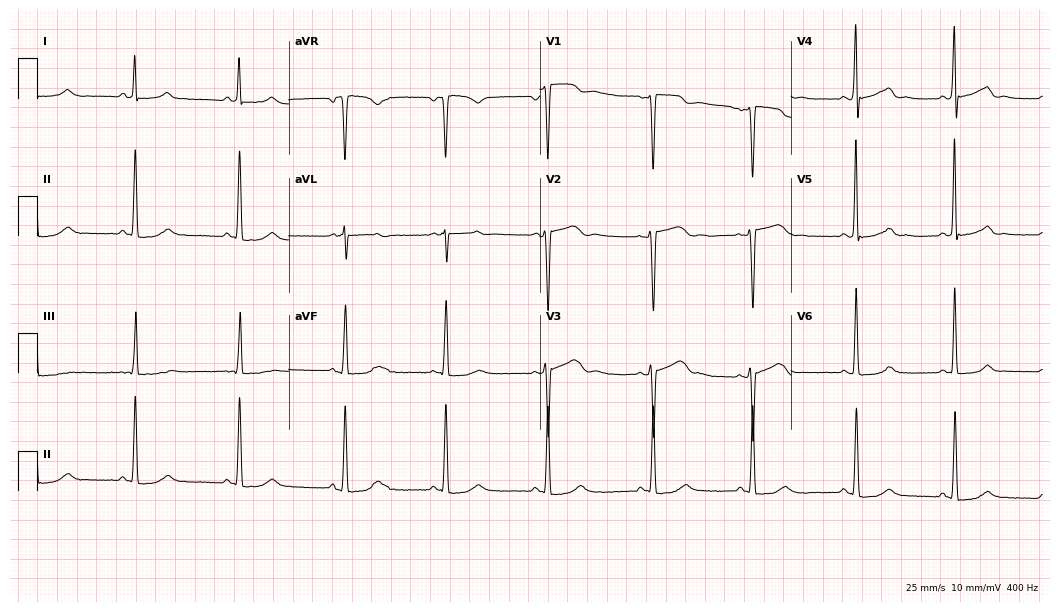
12-lead ECG from a 44-year-old woman. Recorded interpretation: within normal limits.